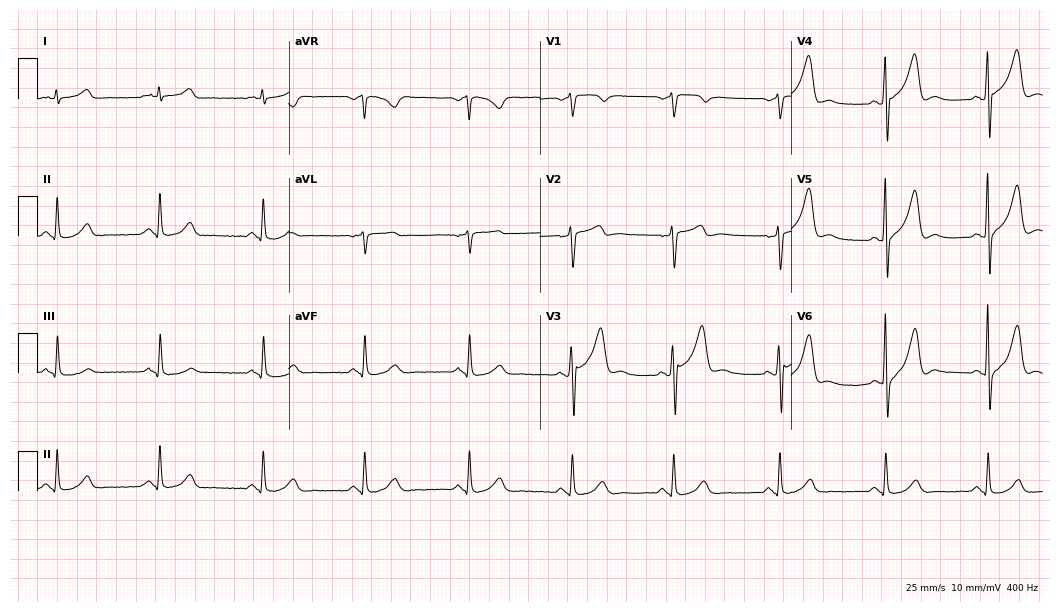
12-lead ECG from a male patient, 50 years old (10.2-second recording at 400 Hz). Recorded interpretation: within normal limits.